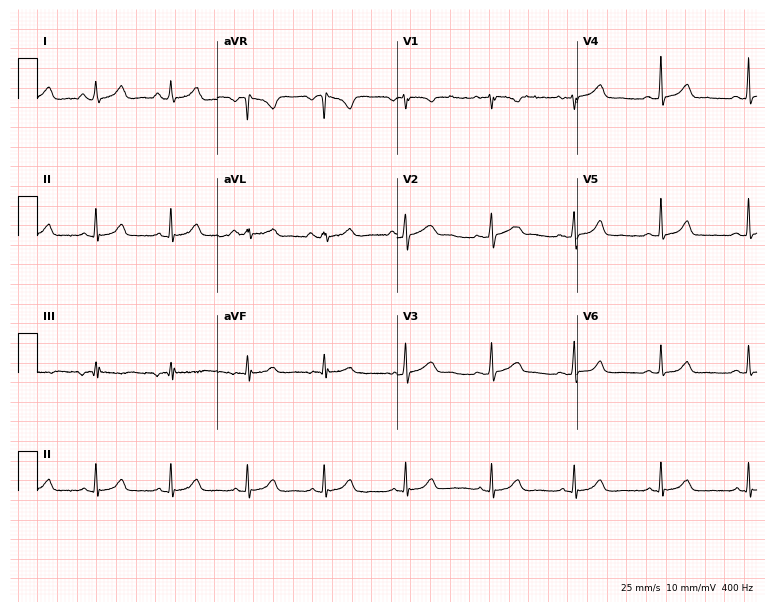
Resting 12-lead electrocardiogram (7.3-second recording at 400 Hz). Patient: a female, 26 years old. None of these six findings is recorded: first-degree AV block, right bundle branch block, left bundle branch block, sinus bradycardia, atrial fibrillation, sinus tachycardia. Other findings, if any, are not listed.